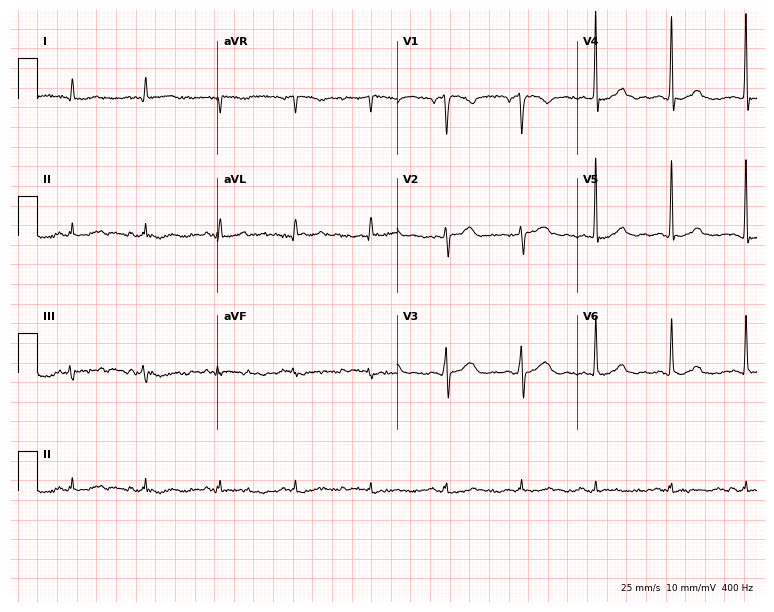
12-lead ECG from a 73-year-old woman (7.3-second recording at 400 Hz). No first-degree AV block, right bundle branch block, left bundle branch block, sinus bradycardia, atrial fibrillation or sinus tachycardia recorded for this tracing.